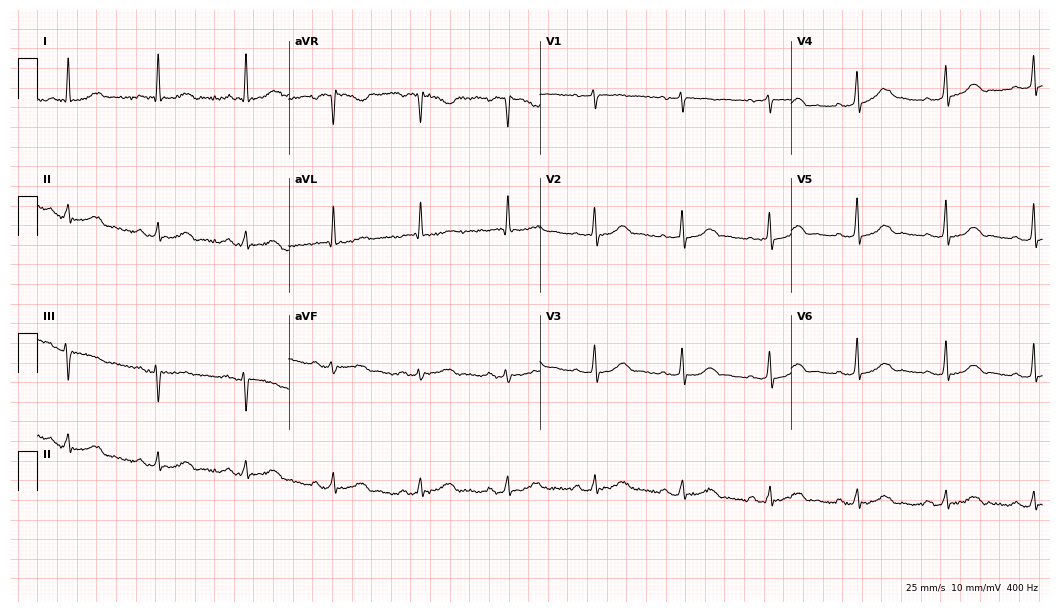
Resting 12-lead electrocardiogram. Patient: a female, 71 years old. Read as a normal ECG.